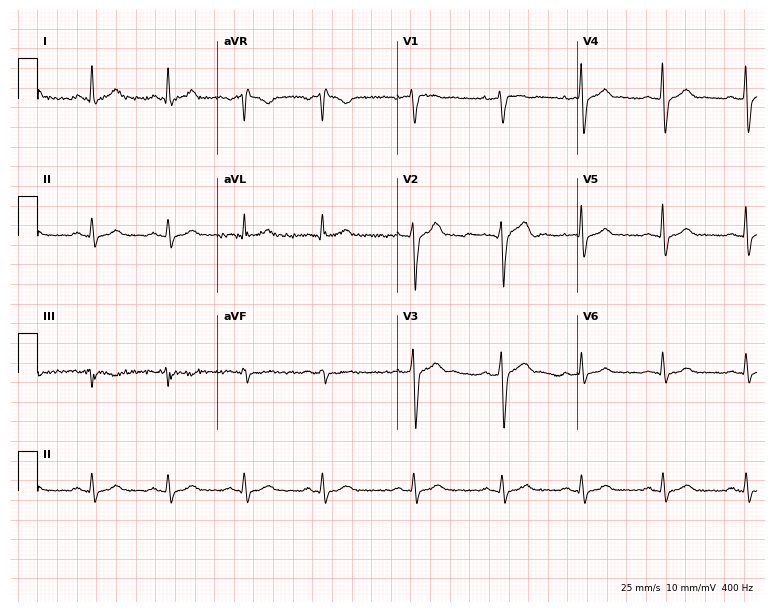
Resting 12-lead electrocardiogram. Patient: a 35-year-old male. None of these six findings is recorded: first-degree AV block, right bundle branch block, left bundle branch block, sinus bradycardia, atrial fibrillation, sinus tachycardia.